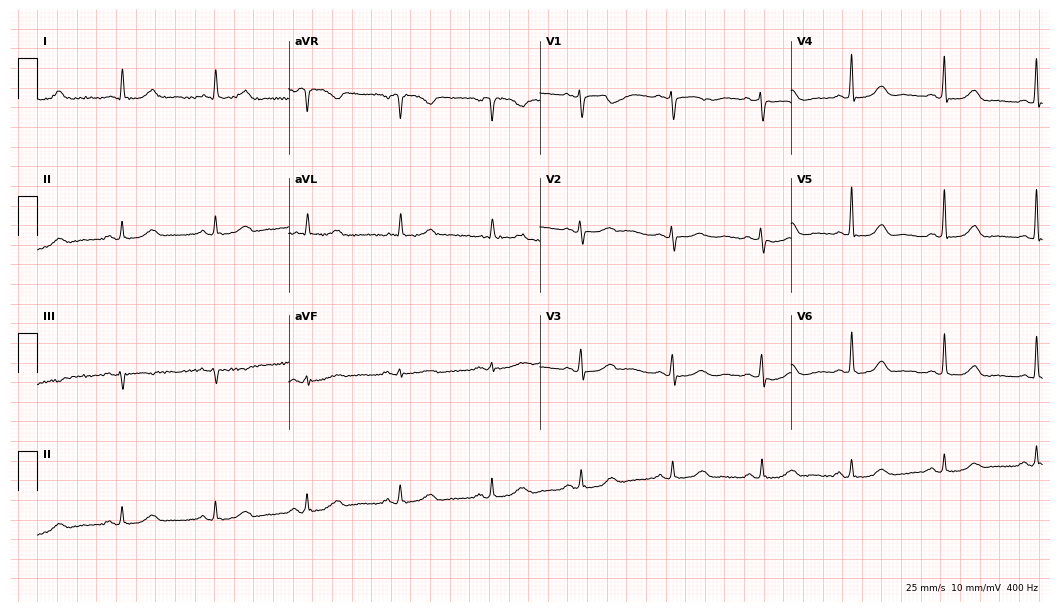
Electrocardiogram, a female, 72 years old. Overall reading on record: normal ECG.